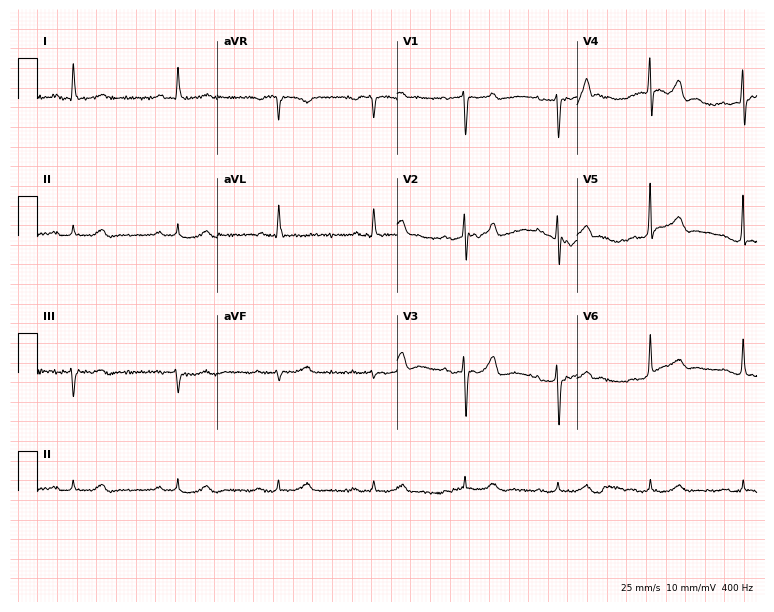
Resting 12-lead electrocardiogram. Patient: a woman, 78 years old. None of these six findings is recorded: first-degree AV block, right bundle branch block (RBBB), left bundle branch block (LBBB), sinus bradycardia, atrial fibrillation (AF), sinus tachycardia.